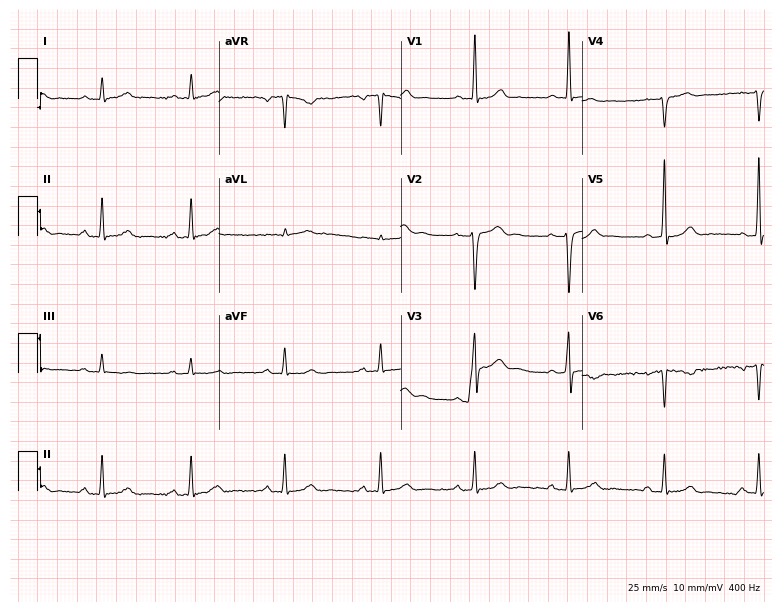
Standard 12-lead ECG recorded from a male patient, 31 years old. None of these six findings is recorded: first-degree AV block, right bundle branch block, left bundle branch block, sinus bradycardia, atrial fibrillation, sinus tachycardia. Findings outside these six are not listed.